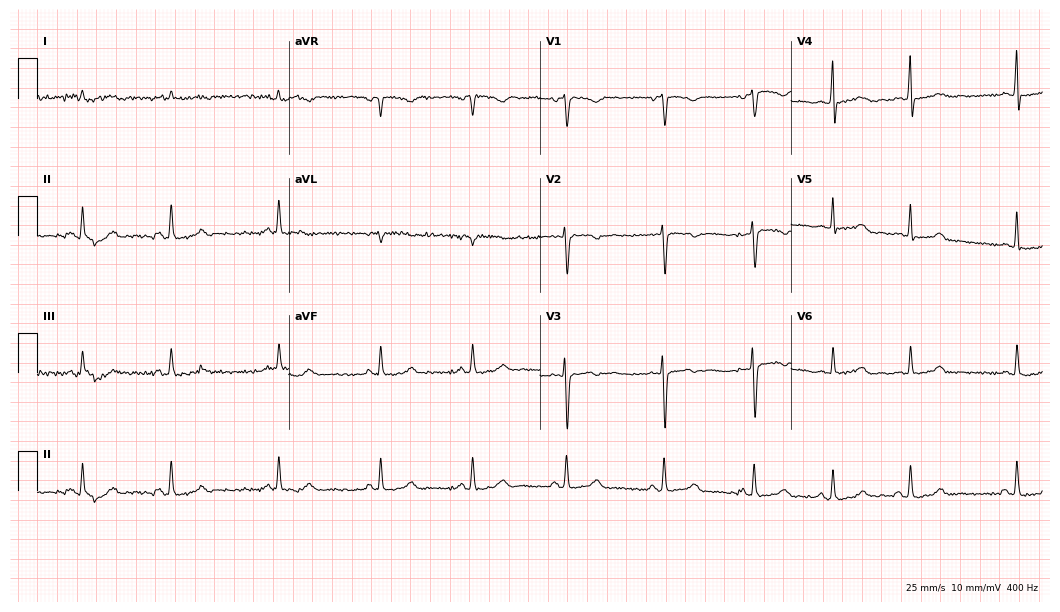
Electrocardiogram (10.2-second recording at 400 Hz), a female patient, 22 years old. Of the six screened findings (first-degree AV block, right bundle branch block (RBBB), left bundle branch block (LBBB), sinus bradycardia, atrial fibrillation (AF), sinus tachycardia), none is recorded. Other findings, if any, are not listed.